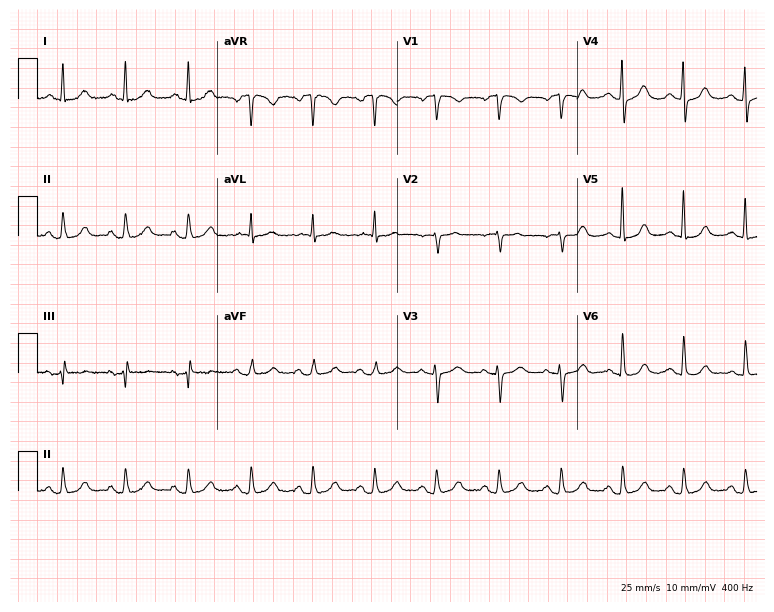
12-lead ECG (7.3-second recording at 400 Hz) from a female, 62 years old. Labelled as a normal ECG.